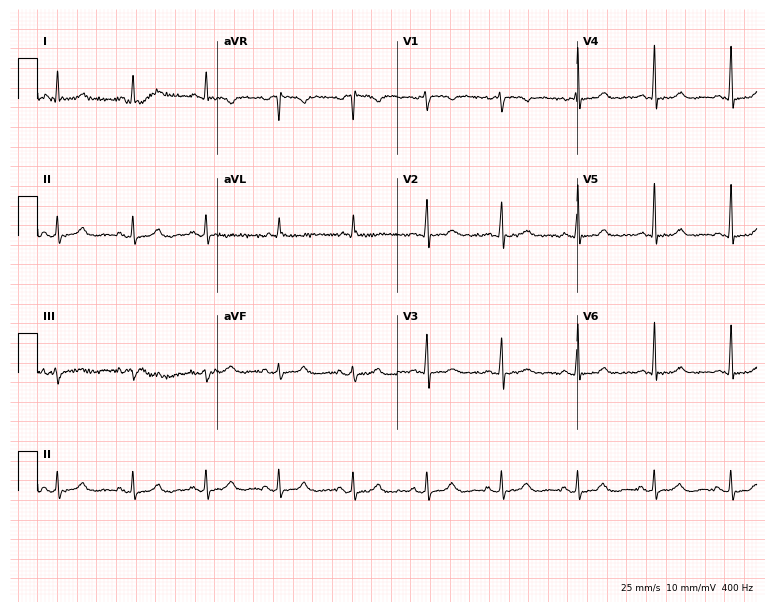
12-lead ECG from a 64-year-old woman. Labelled as a normal ECG.